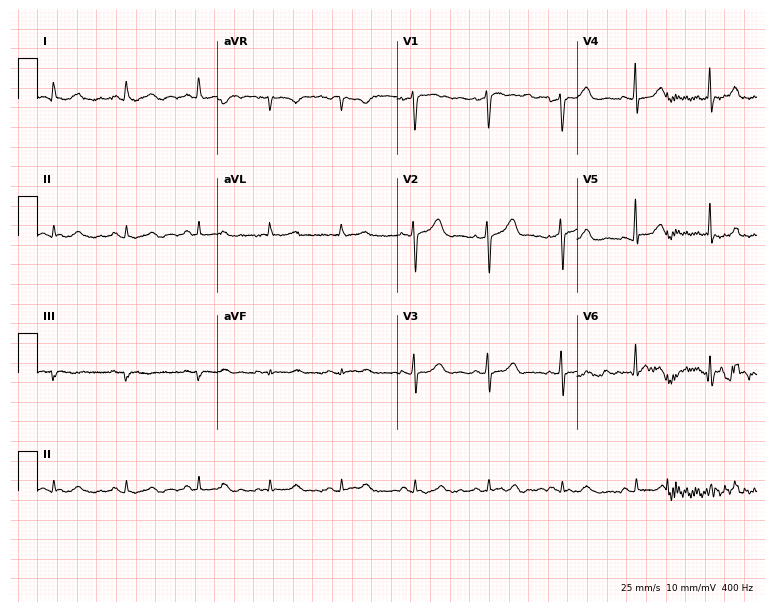
Standard 12-lead ECG recorded from a 49-year-old female. Read as a normal ECG.